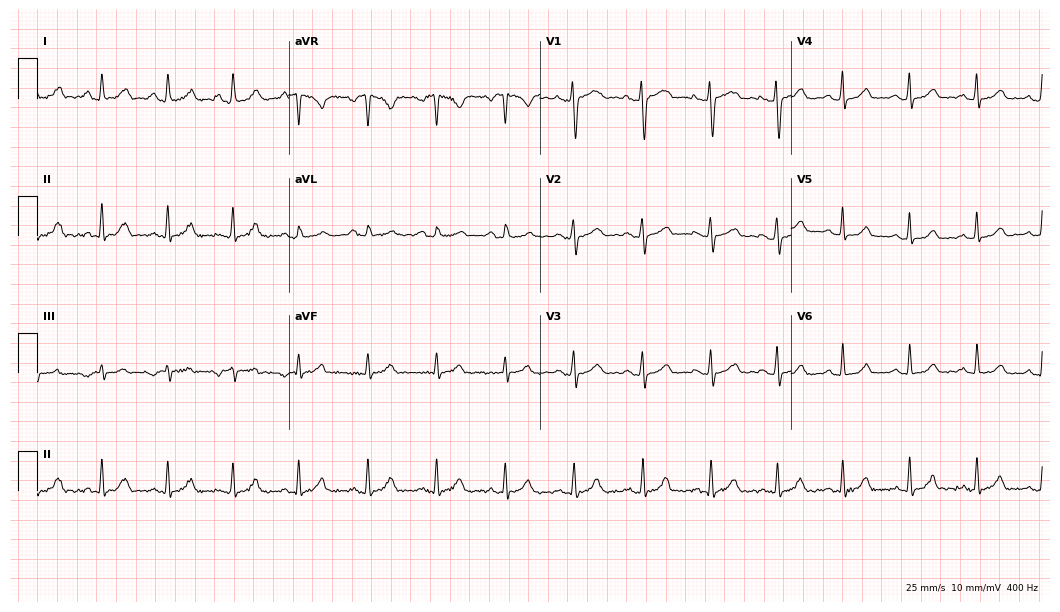
12-lead ECG from a 31-year-old woman. Labelled as a normal ECG.